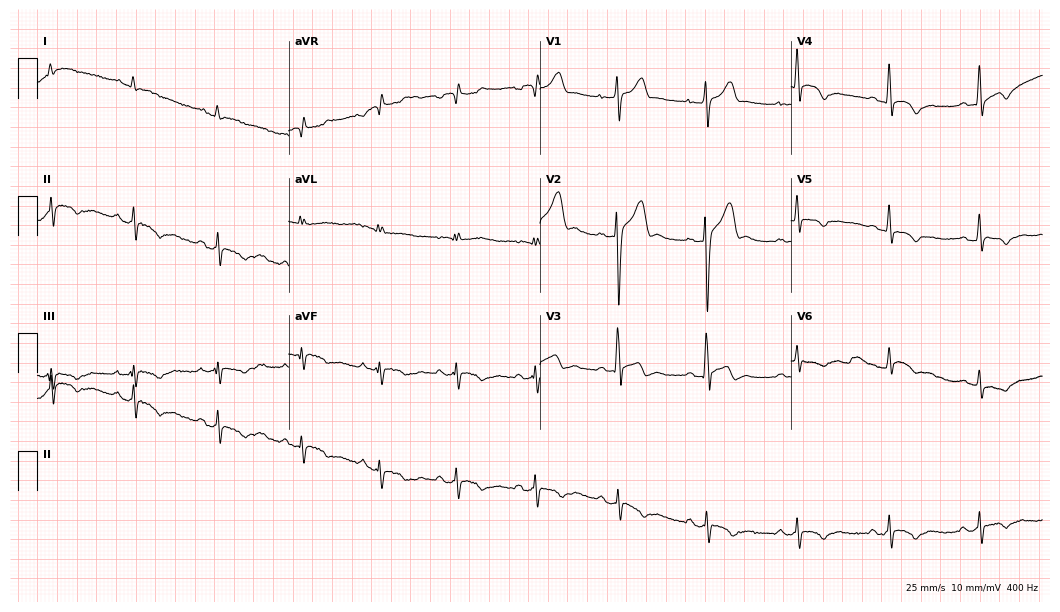
ECG (10.2-second recording at 400 Hz) — a 28-year-old male. Screened for six findings — first-degree AV block, right bundle branch block (RBBB), left bundle branch block (LBBB), sinus bradycardia, atrial fibrillation (AF), sinus tachycardia — none is recorded.